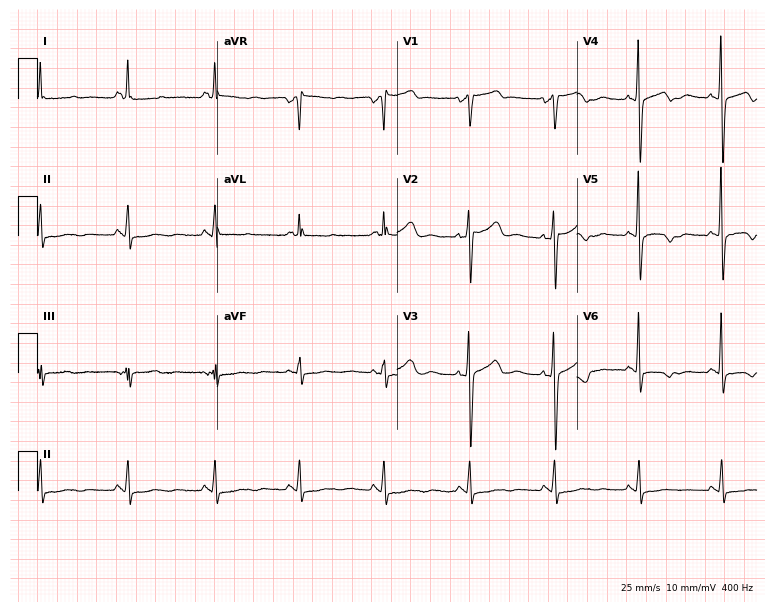
Electrocardiogram (7.3-second recording at 400 Hz), a female, 41 years old. Of the six screened findings (first-degree AV block, right bundle branch block, left bundle branch block, sinus bradycardia, atrial fibrillation, sinus tachycardia), none is recorded.